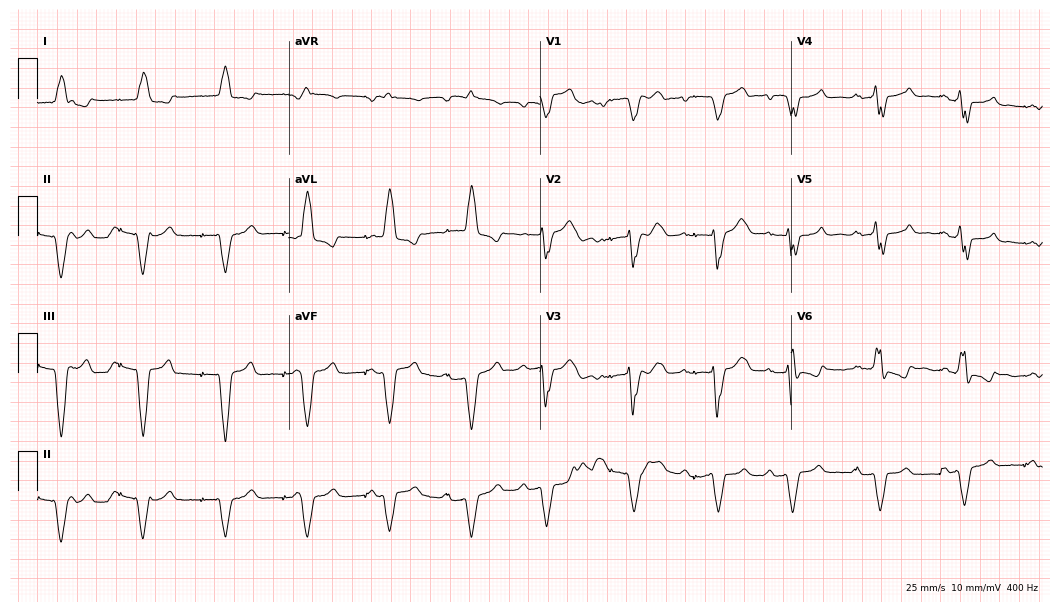
12-lead ECG from an 80-year-old male patient. Screened for six findings — first-degree AV block, right bundle branch block, left bundle branch block, sinus bradycardia, atrial fibrillation, sinus tachycardia — none is recorded. Other findings, if any, are not listed.